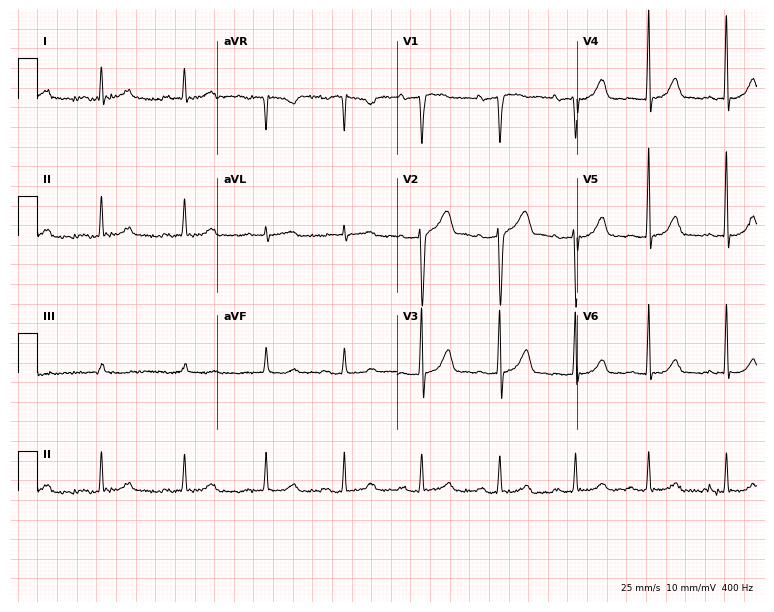
Standard 12-lead ECG recorded from a man, 71 years old (7.3-second recording at 400 Hz). None of these six findings is recorded: first-degree AV block, right bundle branch block (RBBB), left bundle branch block (LBBB), sinus bradycardia, atrial fibrillation (AF), sinus tachycardia.